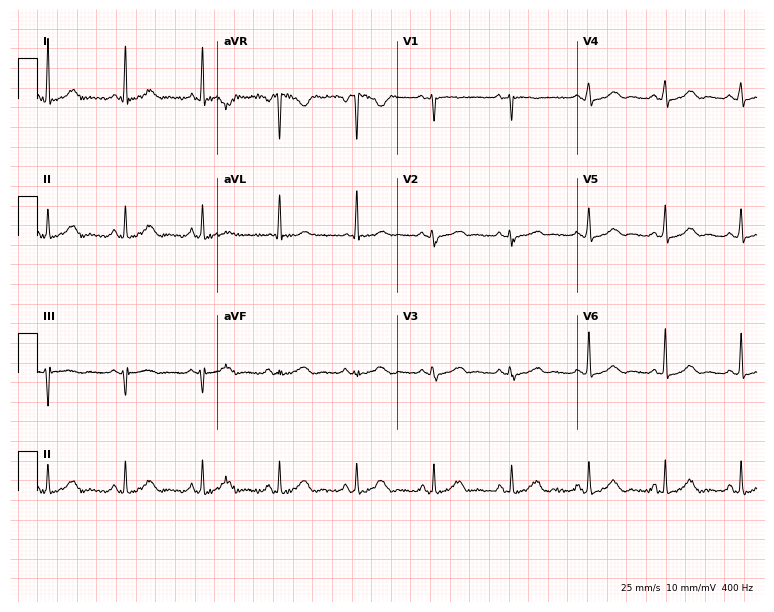
12-lead ECG (7.3-second recording at 400 Hz) from a female patient, 43 years old. Labelled as a normal ECG.